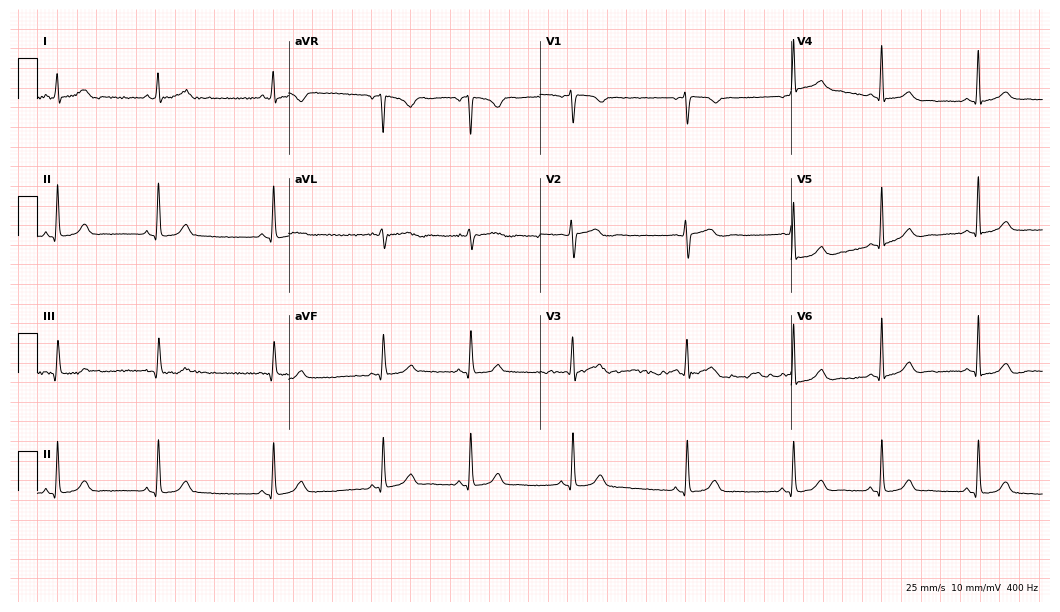
12-lead ECG (10.2-second recording at 400 Hz) from a 21-year-old female. Labelled as a normal ECG.